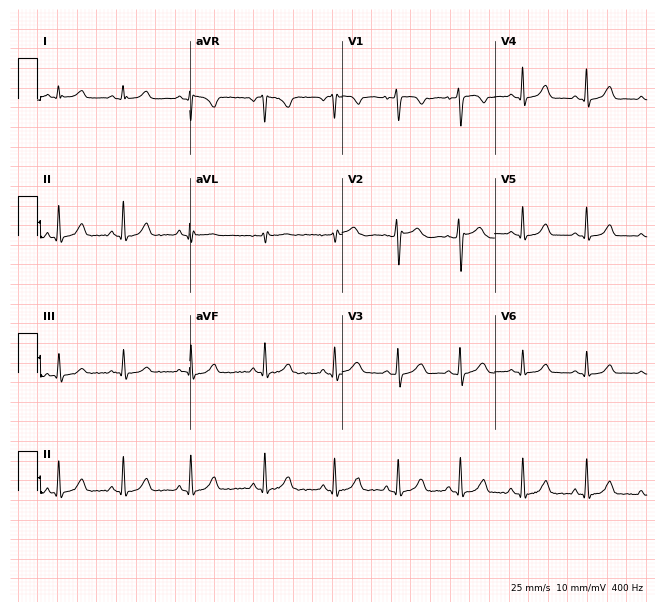
Resting 12-lead electrocardiogram. Patient: a woman, 29 years old. Read as a normal ECG.